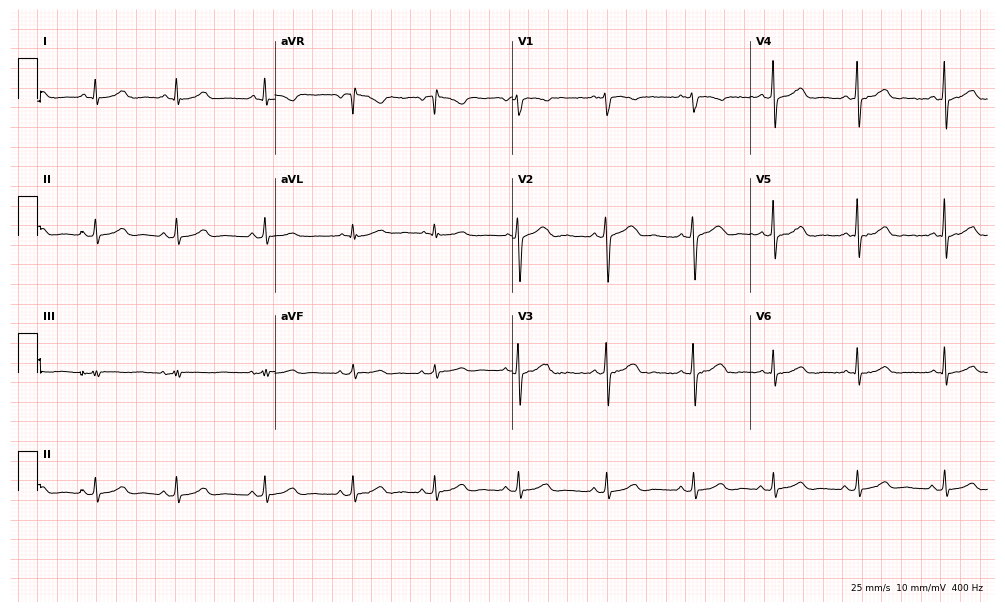
ECG — a 24-year-old woman. Labelled as a normal ECG.